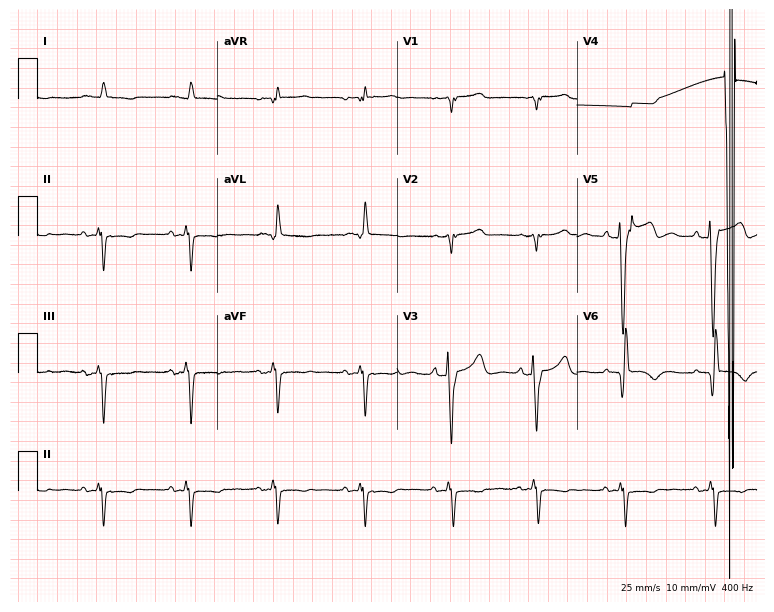
Electrocardiogram (7.3-second recording at 400 Hz), an 82-year-old male patient. Of the six screened findings (first-degree AV block, right bundle branch block, left bundle branch block, sinus bradycardia, atrial fibrillation, sinus tachycardia), none is recorded.